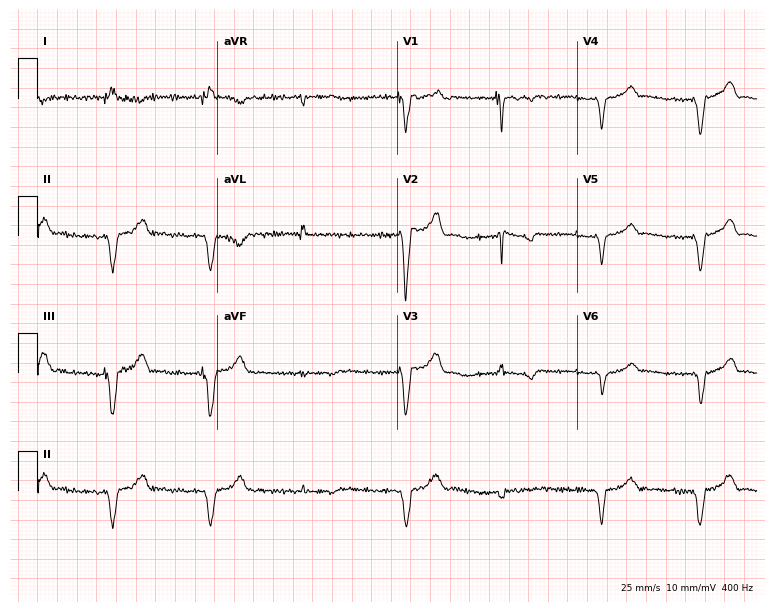
ECG (7.3-second recording at 400 Hz) — a 71-year-old female patient. Screened for six findings — first-degree AV block, right bundle branch block, left bundle branch block, sinus bradycardia, atrial fibrillation, sinus tachycardia — none is recorded.